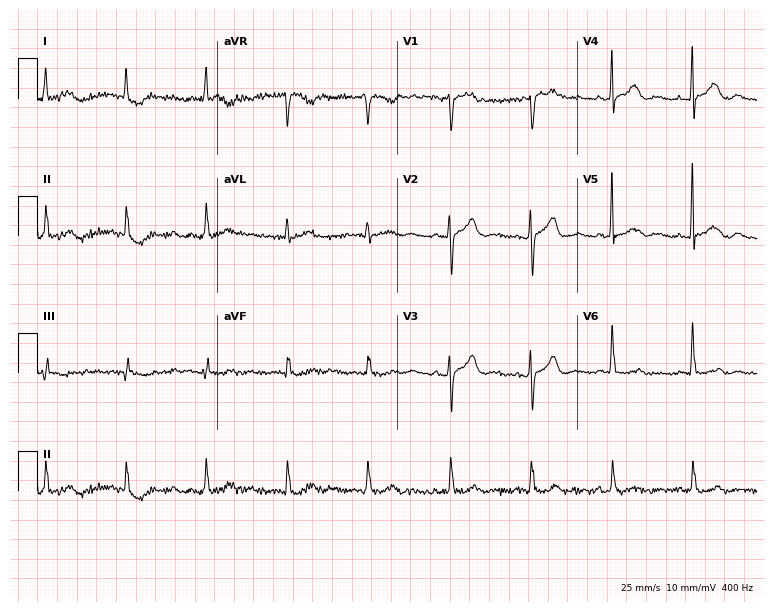
12-lead ECG from a female, 81 years old (7.3-second recording at 400 Hz). Recorded interpretation: within normal limits.